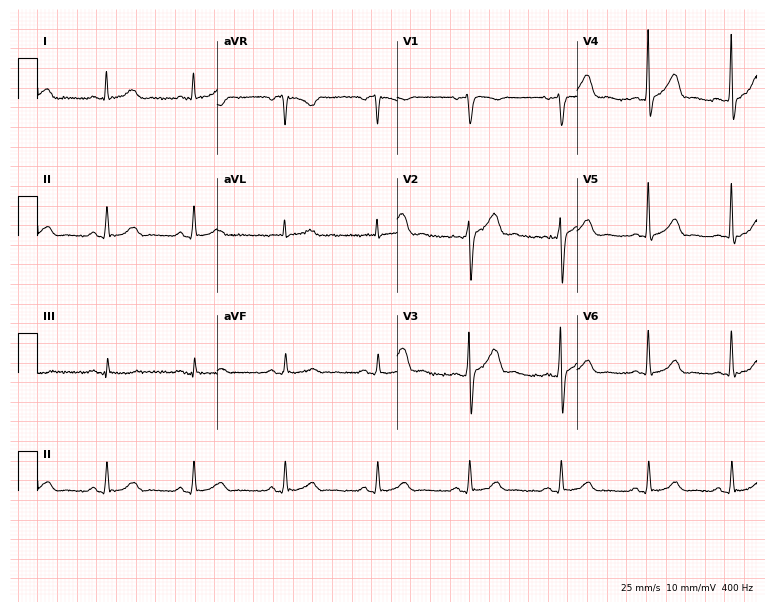
12-lead ECG (7.3-second recording at 400 Hz) from a male patient, 49 years old. Screened for six findings — first-degree AV block, right bundle branch block, left bundle branch block, sinus bradycardia, atrial fibrillation, sinus tachycardia — none is recorded.